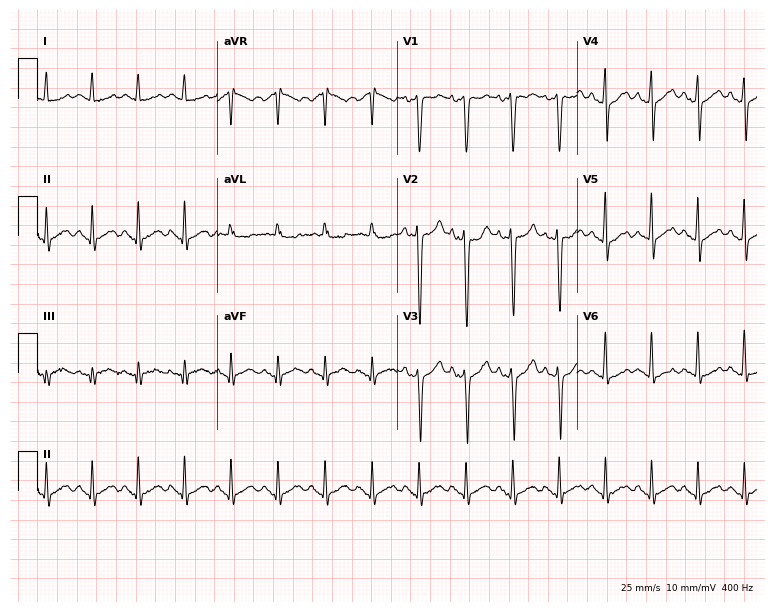
12-lead ECG from a male patient, 28 years old. Findings include sinus tachycardia (a sinus rate of 100 beats per minute or more).